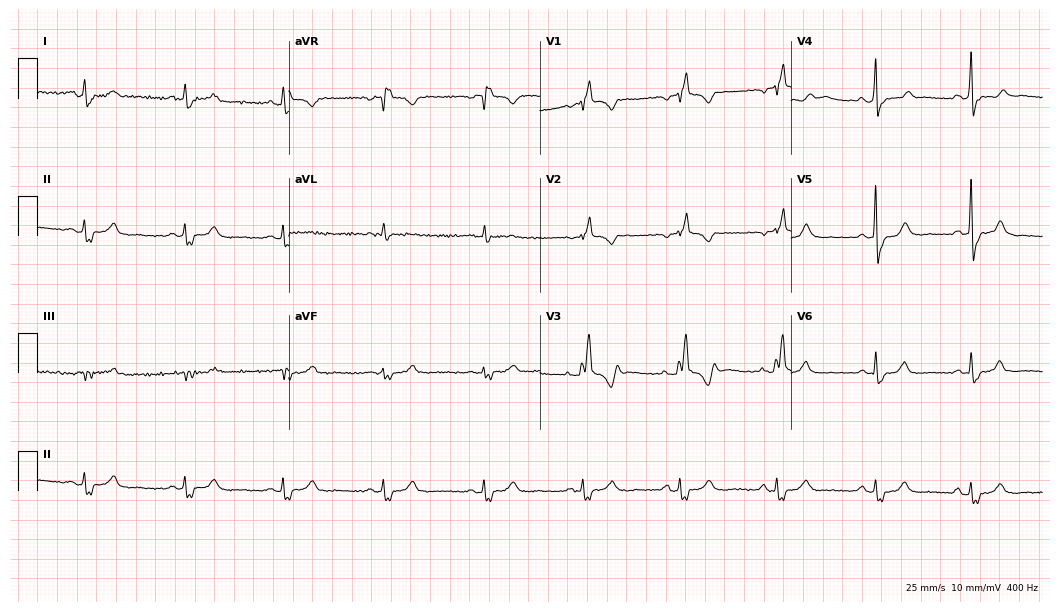
ECG — a male, 61 years old. Findings include right bundle branch block.